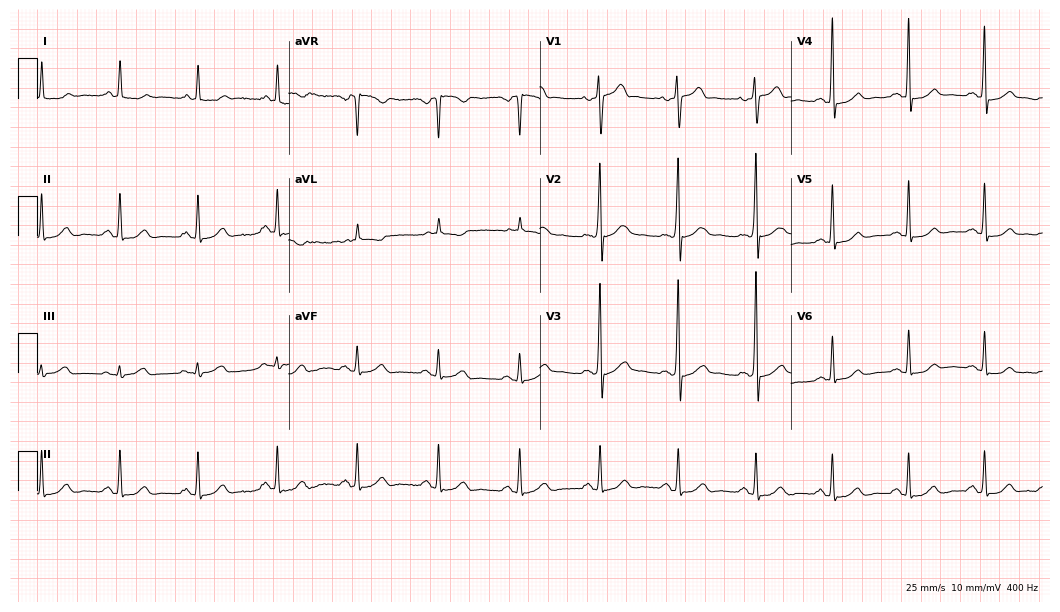
12-lead ECG from a male patient, 33 years old (10.2-second recording at 400 Hz). Recorded interpretation: within normal limits.